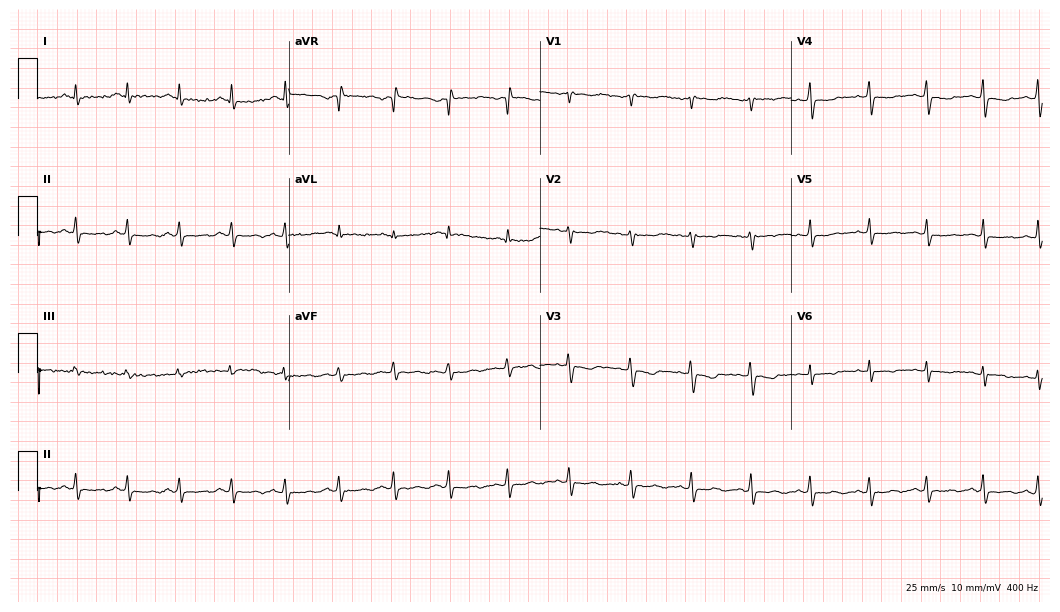
12-lead ECG from a female, 36 years old. Findings include sinus tachycardia (a sinus rate of 100 beats per minute or more).